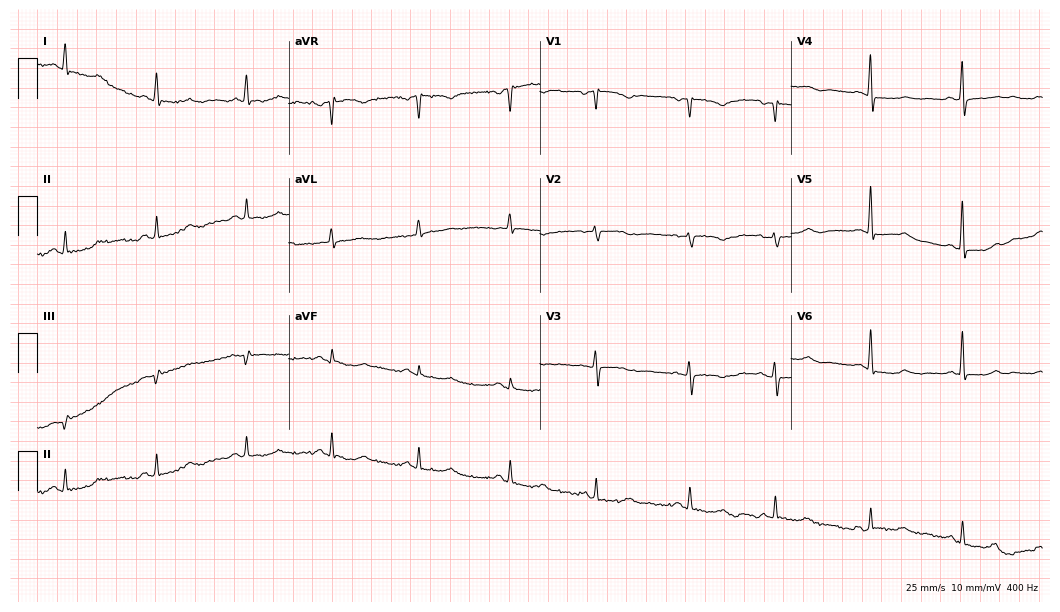
ECG — a 72-year-old female patient. Screened for six findings — first-degree AV block, right bundle branch block, left bundle branch block, sinus bradycardia, atrial fibrillation, sinus tachycardia — none is recorded. Only these six findings were labelled.